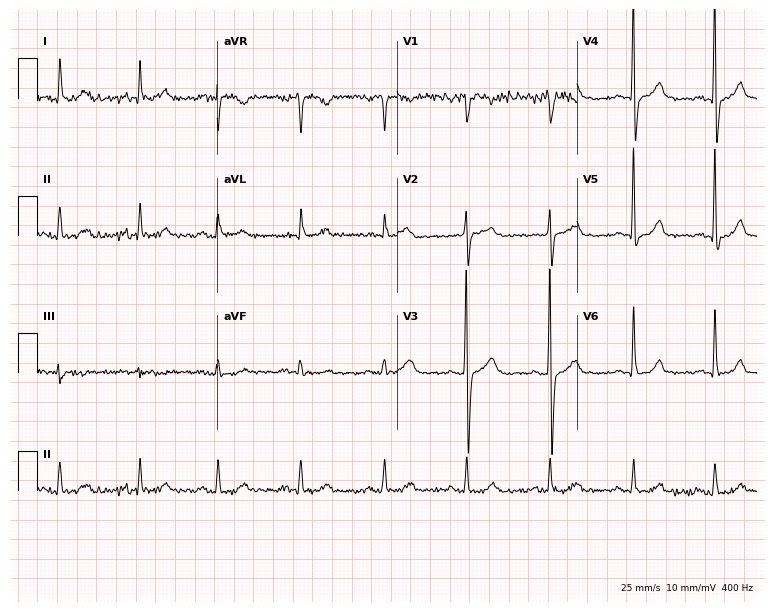
ECG — a man, 50 years old. Screened for six findings — first-degree AV block, right bundle branch block, left bundle branch block, sinus bradycardia, atrial fibrillation, sinus tachycardia — none is recorded.